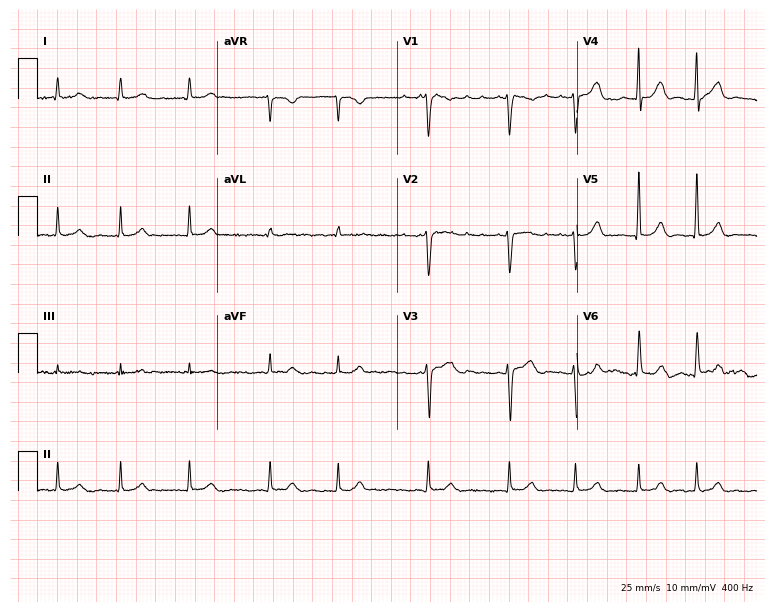
Electrocardiogram (7.3-second recording at 400 Hz), a male patient, 78 years old. Interpretation includes atrial fibrillation (AF).